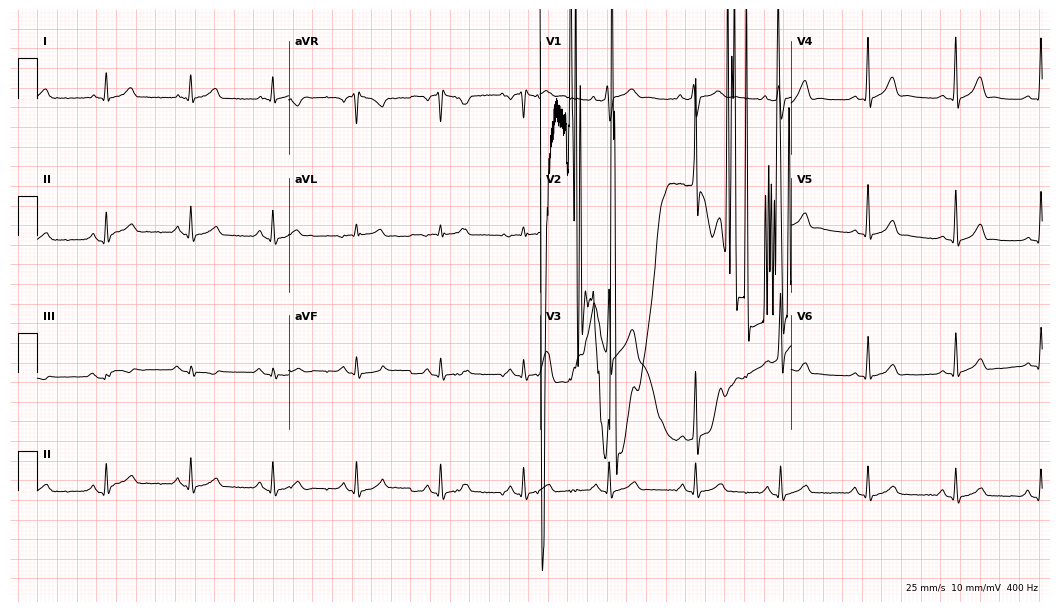
Resting 12-lead electrocardiogram. Patient: a man, 48 years old. None of these six findings is recorded: first-degree AV block, right bundle branch block, left bundle branch block, sinus bradycardia, atrial fibrillation, sinus tachycardia. Findings outside these six are not listed.